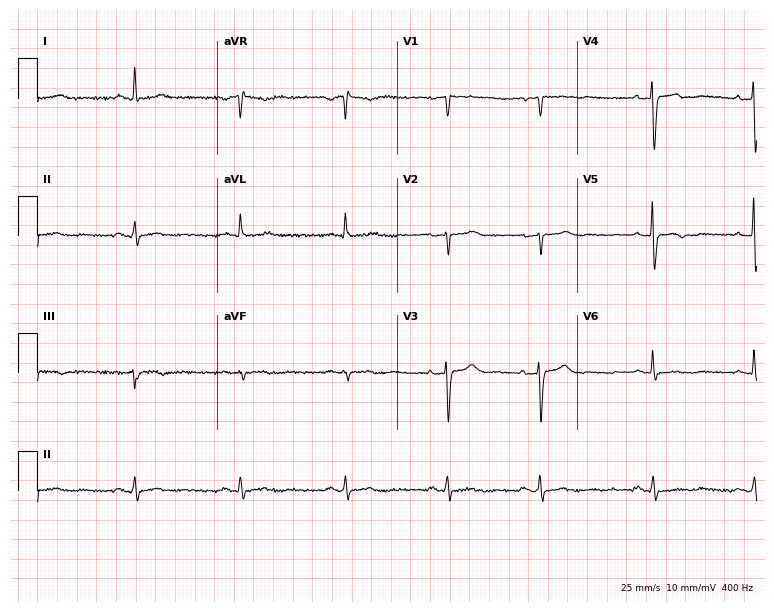
Resting 12-lead electrocardiogram. Patient: a woman, 57 years old. None of these six findings is recorded: first-degree AV block, right bundle branch block, left bundle branch block, sinus bradycardia, atrial fibrillation, sinus tachycardia.